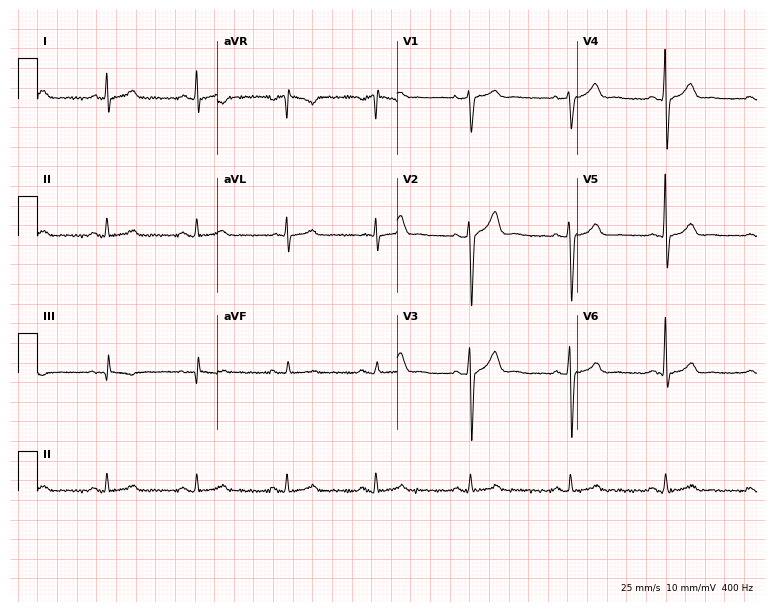
ECG — a male, 34 years old. Labelled as a normal ECG.